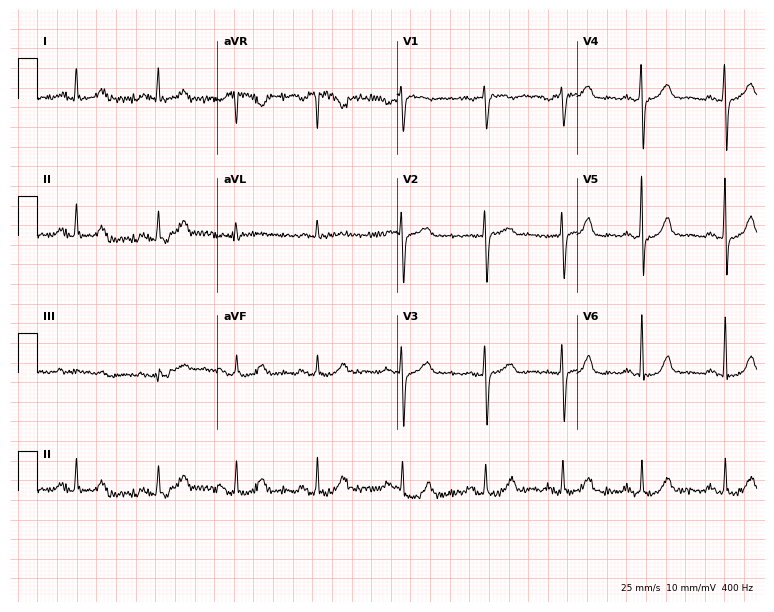
Standard 12-lead ECG recorded from a 75-year-old female patient (7.3-second recording at 400 Hz). None of these six findings is recorded: first-degree AV block, right bundle branch block (RBBB), left bundle branch block (LBBB), sinus bradycardia, atrial fibrillation (AF), sinus tachycardia.